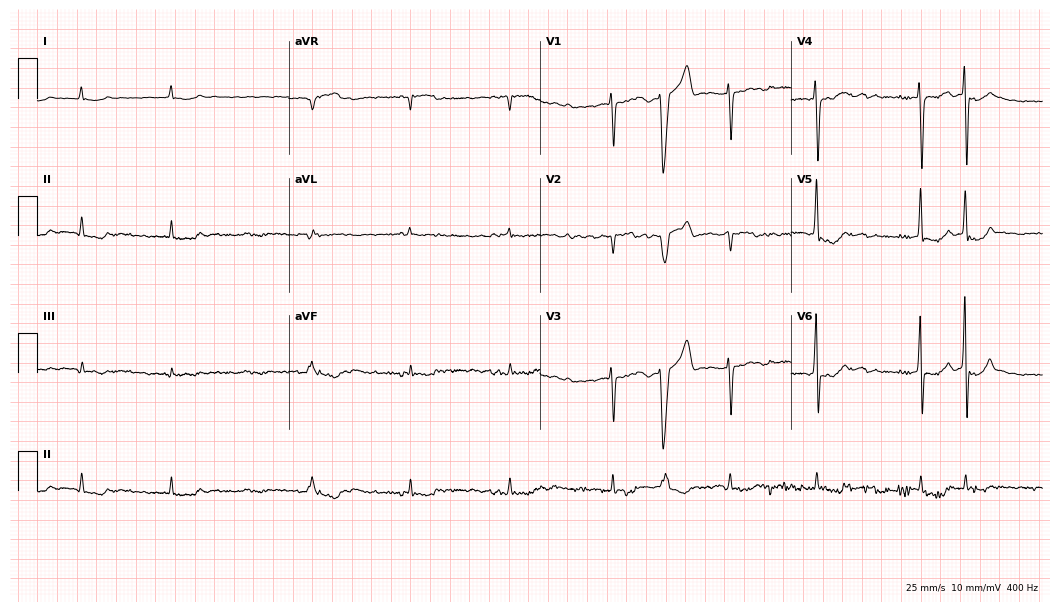
Electrocardiogram, an 82-year-old man. Of the six screened findings (first-degree AV block, right bundle branch block, left bundle branch block, sinus bradycardia, atrial fibrillation, sinus tachycardia), none is recorded.